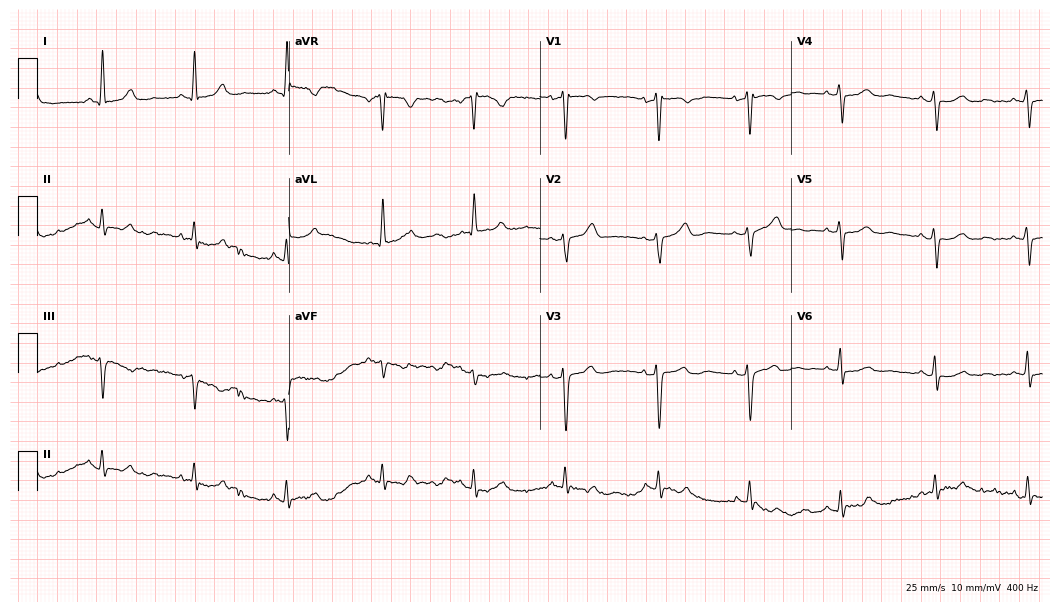
ECG — a 62-year-old female. Screened for six findings — first-degree AV block, right bundle branch block, left bundle branch block, sinus bradycardia, atrial fibrillation, sinus tachycardia — none is recorded. Findings outside these six are not listed.